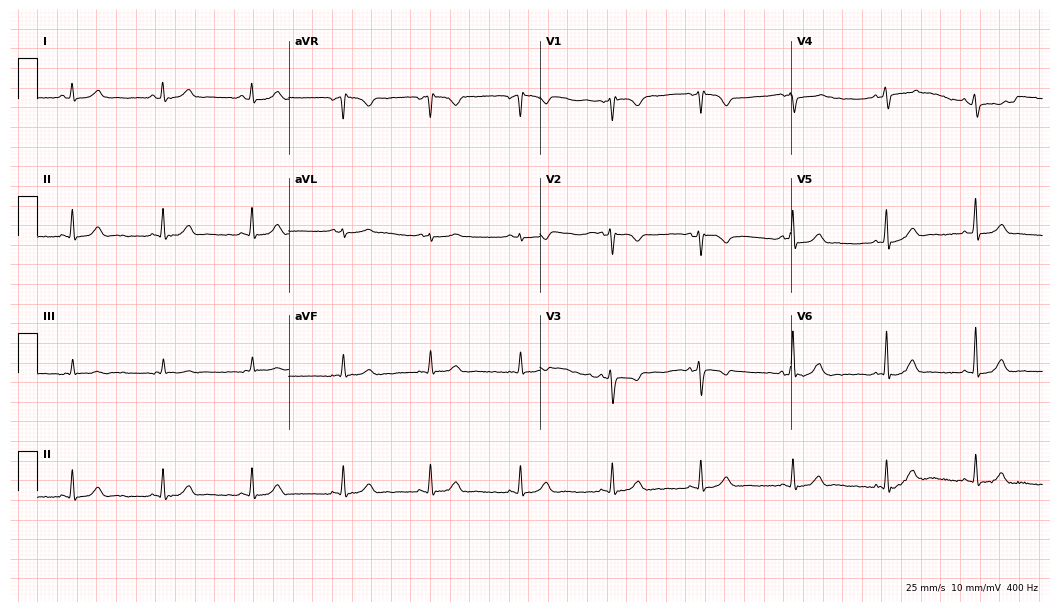
12-lead ECG (10.2-second recording at 400 Hz) from a female patient, 44 years old. Screened for six findings — first-degree AV block, right bundle branch block, left bundle branch block, sinus bradycardia, atrial fibrillation, sinus tachycardia — none is recorded. Findings outside these six are not listed.